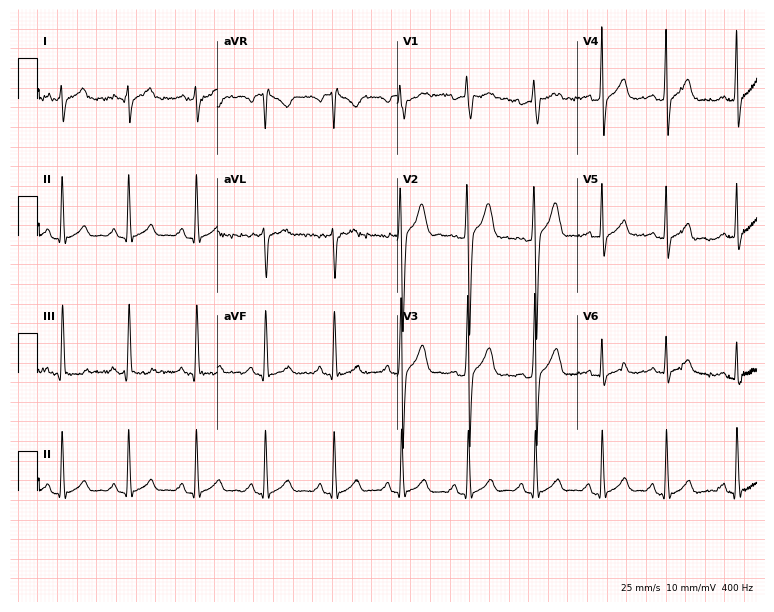
Resting 12-lead electrocardiogram (7.3-second recording at 400 Hz). Patient: a 24-year-old man. None of these six findings is recorded: first-degree AV block, right bundle branch block, left bundle branch block, sinus bradycardia, atrial fibrillation, sinus tachycardia.